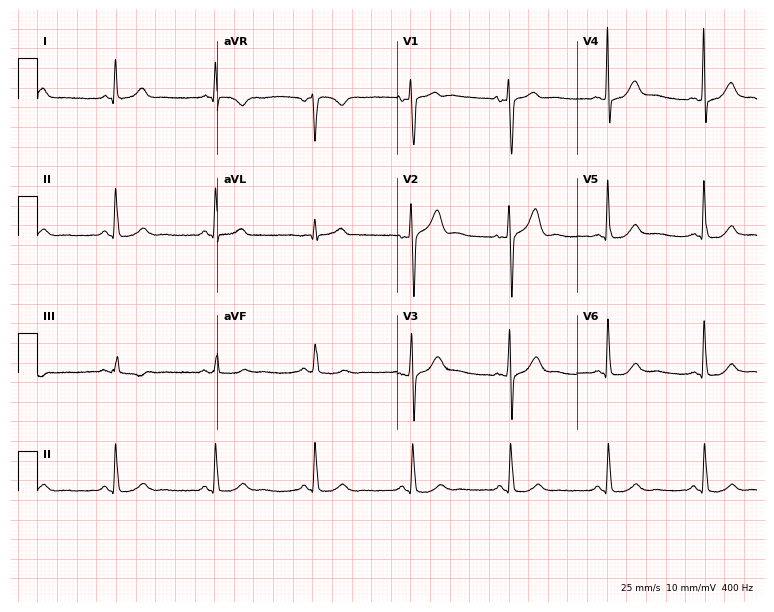
12-lead ECG from a 52-year-old male (7.3-second recording at 400 Hz). Recorded interpretation: within normal limits.